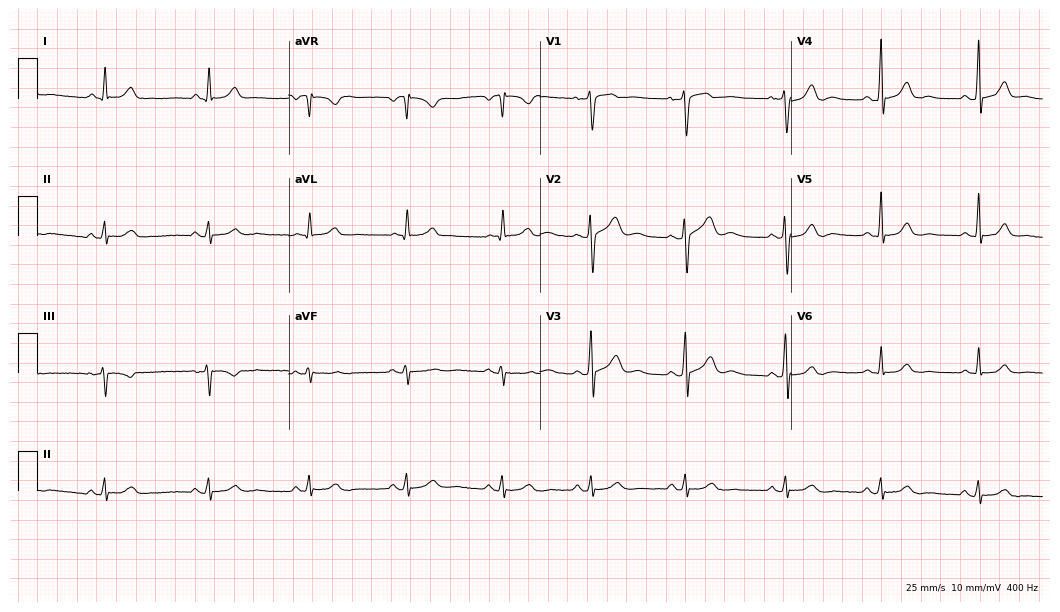
12-lead ECG from a female, 47 years old (10.2-second recording at 400 Hz). No first-degree AV block, right bundle branch block (RBBB), left bundle branch block (LBBB), sinus bradycardia, atrial fibrillation (AF) or sinus tachycardia recorded for this tracing. Findings outside these six are not listed.